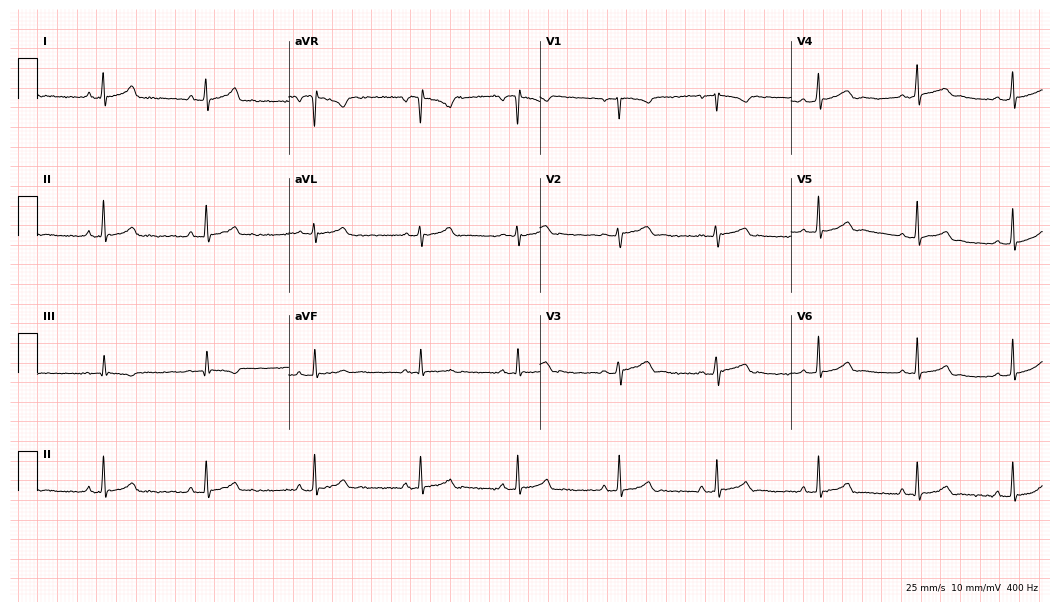
12-lead ECG from a 22-year-old female. Labelled as a normal ECG.